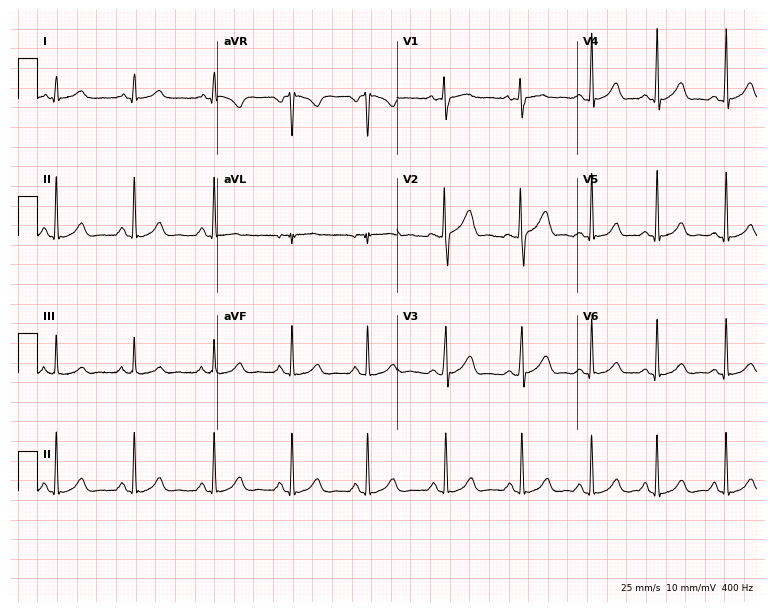
Resting 12-lead electrocardiogram (7.3-second recording at 400 Hz). Patient: a woman, 31 years old. Read as a normal ECG.